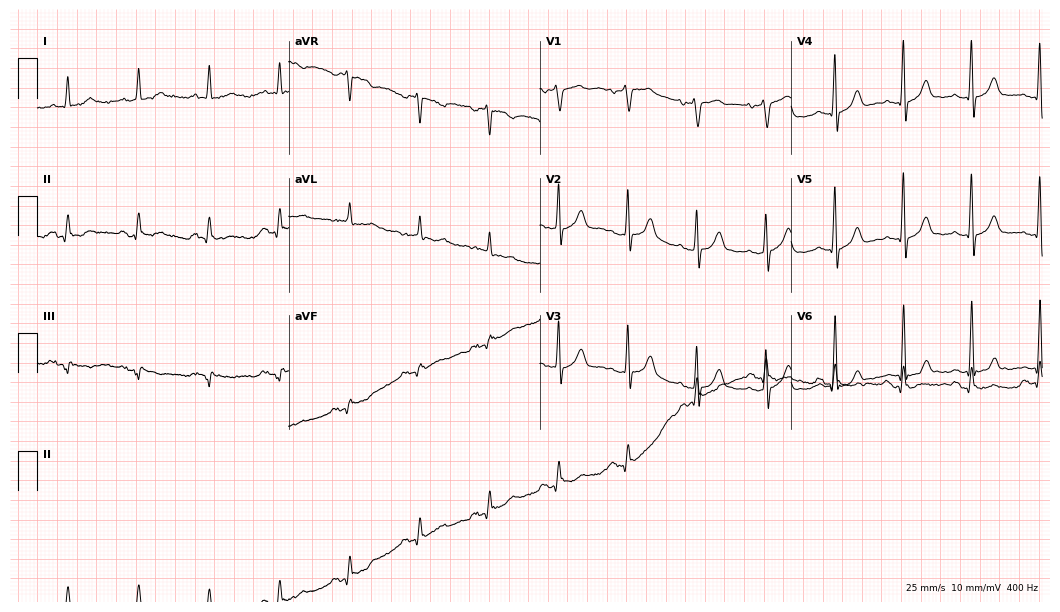
Resting 12-lead electrocardiogram (10.2-second recording at 400 Hz). Patient: an 83-year-old male. None of these six findings is recorded: first-degree AV block, right bundle branch block (RBBB), left bundle branch block (LBBB), sinus bradycardia, atrial fibrillation (AF), sinus tachycardia.